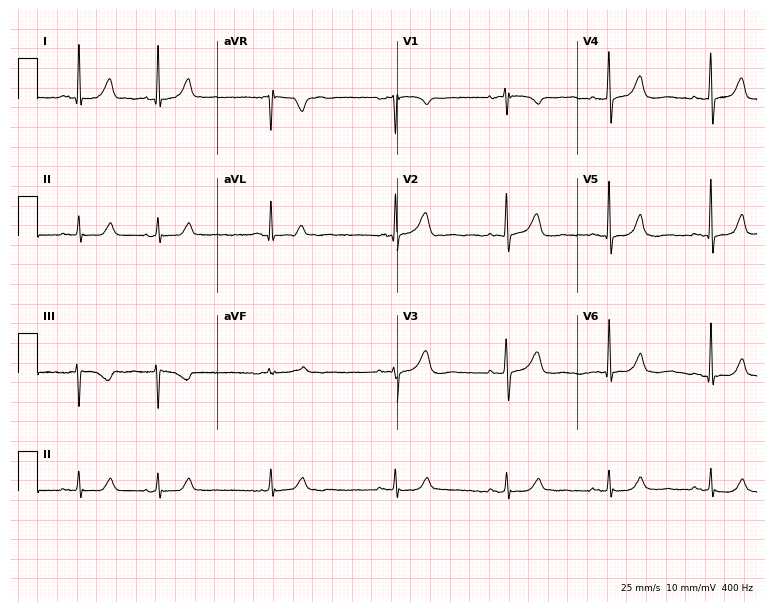
Standard 12-lead ECG recorded from an 85-year-old female (7.3-second recording at 400 Hz). Read as a normal ECG.